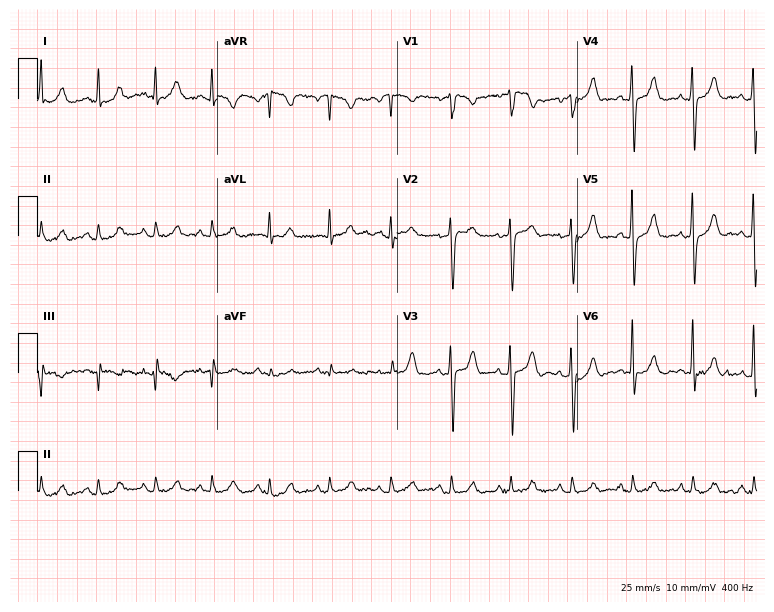
ECG — a male patient, 58 years old. Screened for six findings — first-degree AV block, right bundle branch block (RBBB), left bundle branch block (LBBB), sinus bradycardia, atrial fibrillation (AF), sinus tachycardia — none is recorded.